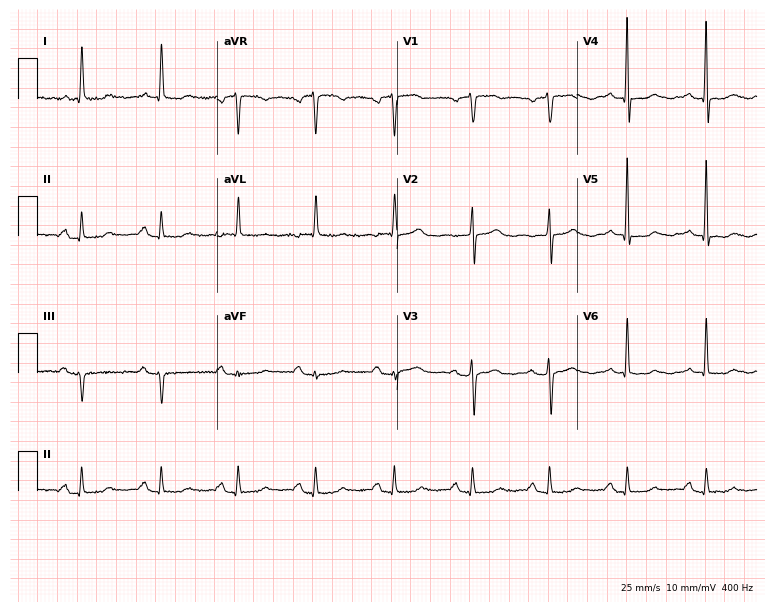
12-lead ECG (7.3-second recording at 400 Hz) from a 70-year-old female patient. Labelled as a normal ECG.